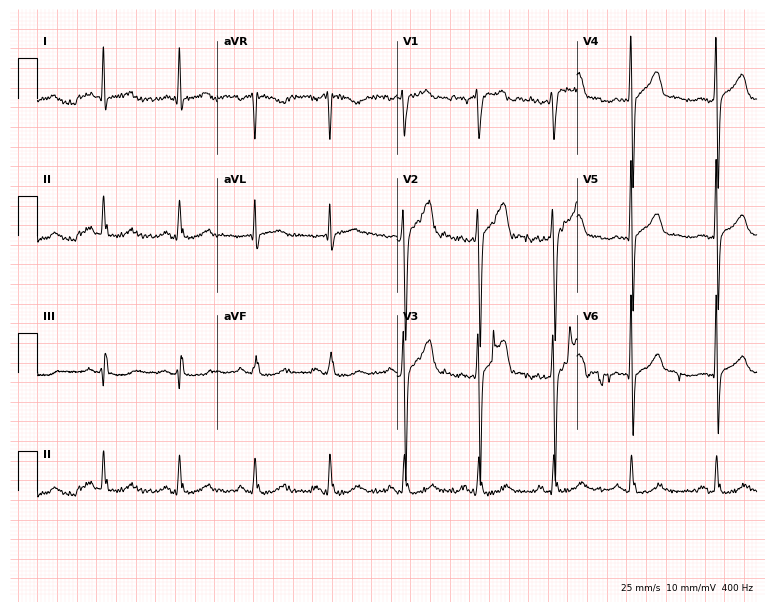
ECG (7.3-second recording at 400 Hz) — a man, 43 years old. Screened for six findings — first-degree AV block, right bundle branch block, left bundle branch block, sinus bradycardia, atrial fibrillation, sinus tachycardia — none is recorded.